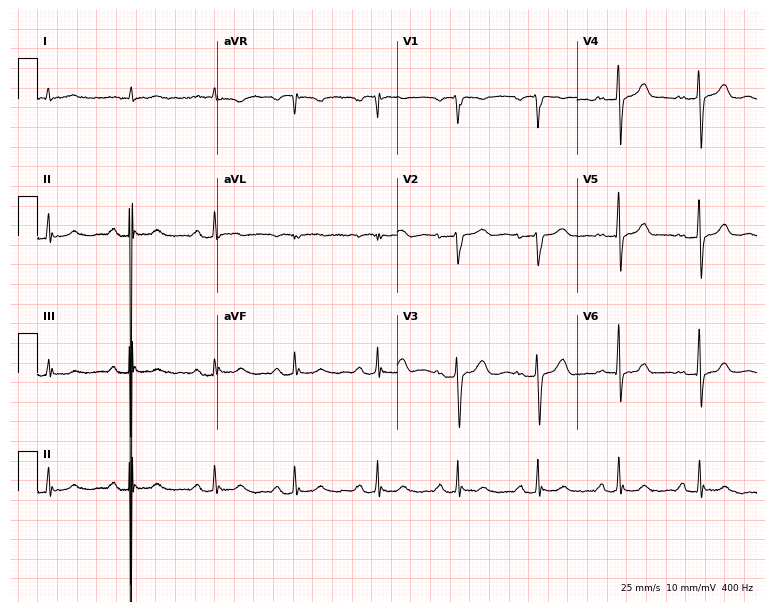
Electrocardiogram (7.3-second recording at 400 Hz), a 70-year-old male. Interpretation includes first-degree AV block.